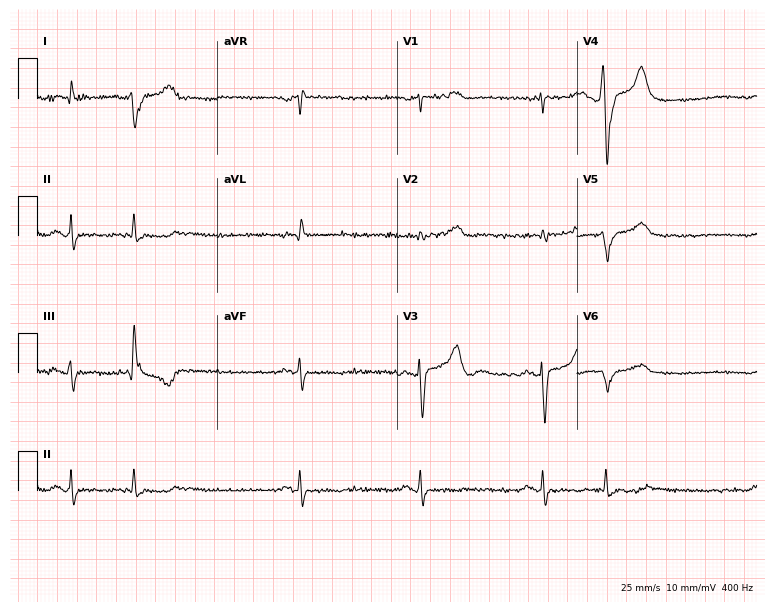
Resting 12-lead electrocardiogram (7.3-second recording at 400 Hz). Patient: a 63-year-old male. None of these six findings is recorded: first-degree AV block, right bundle branch block (RBBB), left bundle branch block (LBBB), sinus bradycardia, atrial fibrillation (AF), sinus tachycardia.